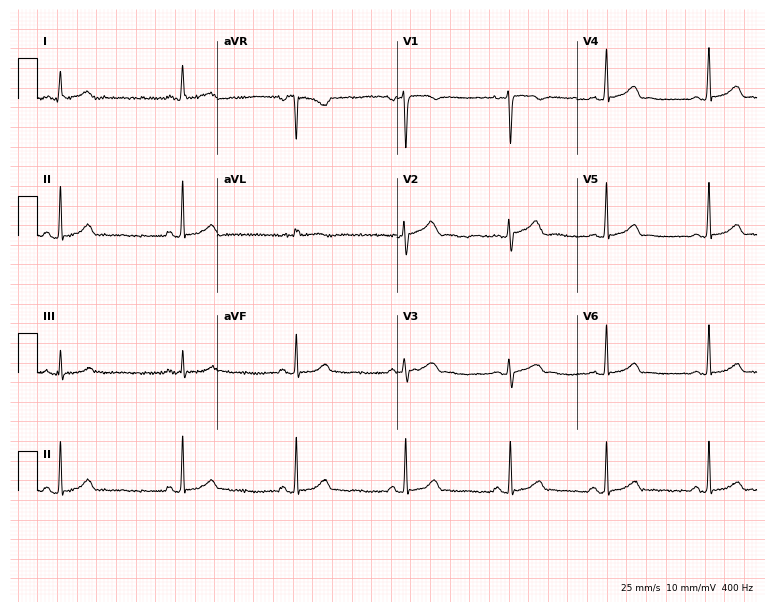
12-lead ECG from a woman, 19 years old. No first-degree AV block, right bundle branch block, left bundle branch block, sinus bradycardia, atrial fibrillation or sinus tachycardia recorded for this tracing.